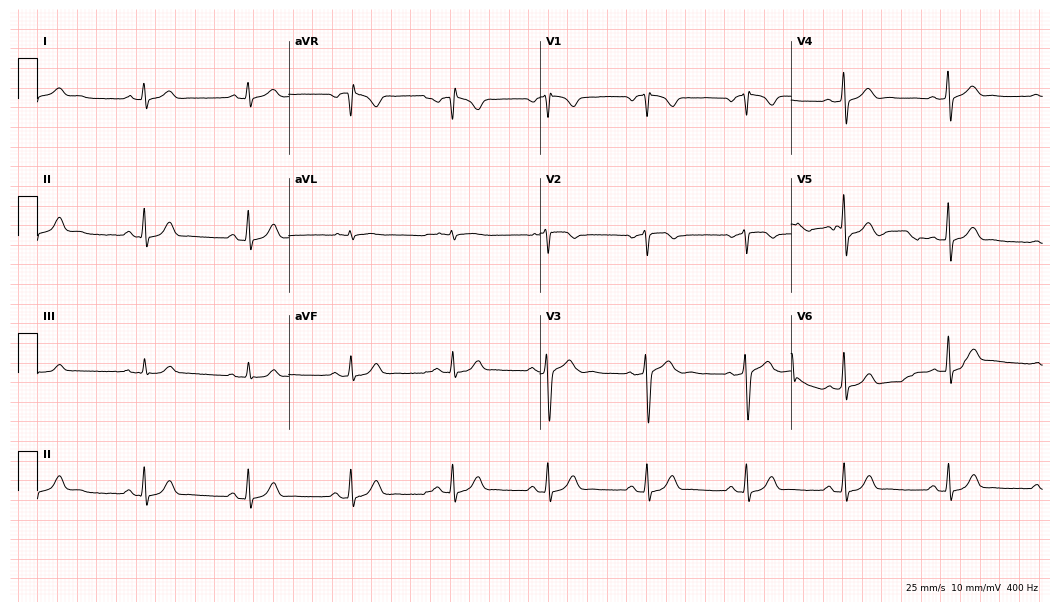
Resting 12-lead electrocardiogram. Patient: a male, 48 years old. Read as a normal ECG.